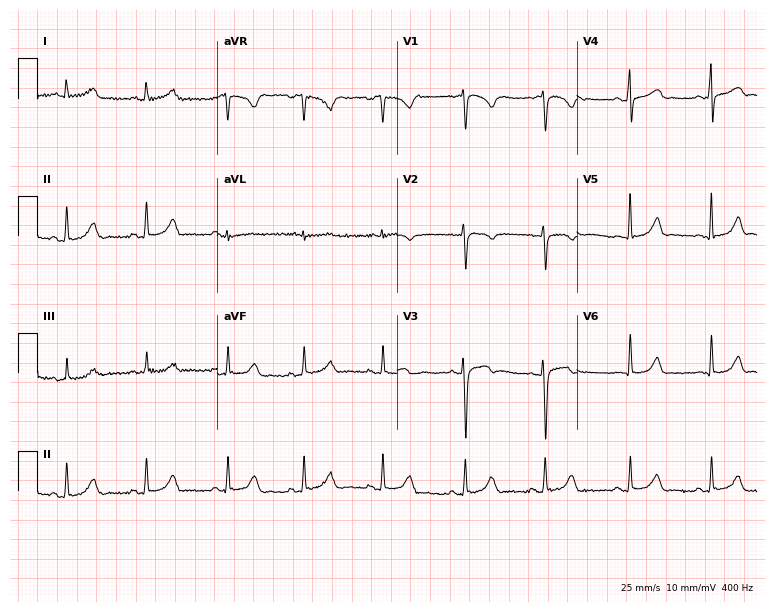
Electrocardiogram, a 24-year-old female patient. Overall reading on record: normal ECG.